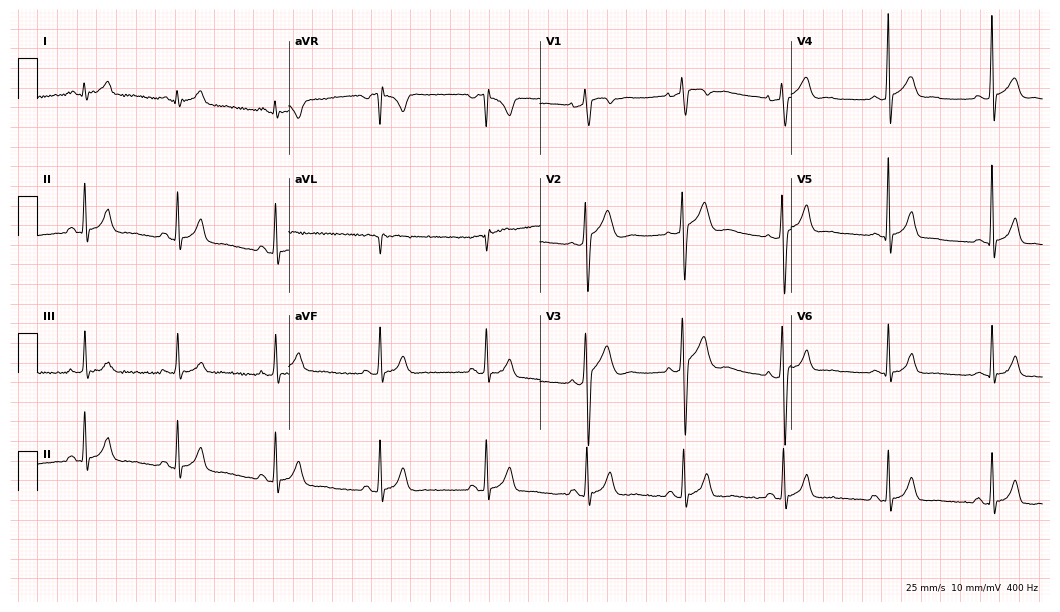
Standard 12-lead ECG recorded from a man, 22 years old (10.2-second recording at 400 Hz). None of these six findings is recorded: first-degree AV block, right bundle branch block, left bundle branch block, sinus bradycardia, atrial fibrillation, sinus tachycardia. Only these six findings were labelled.